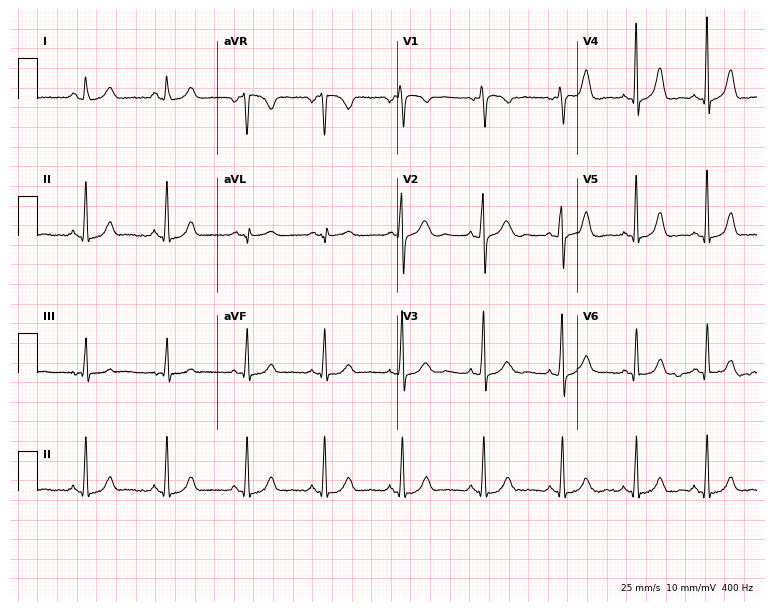
Standard 12-lead ECG recorded from a female, 29 years old (7.3-second recording at 400 Hz). Read as a normal ECG.